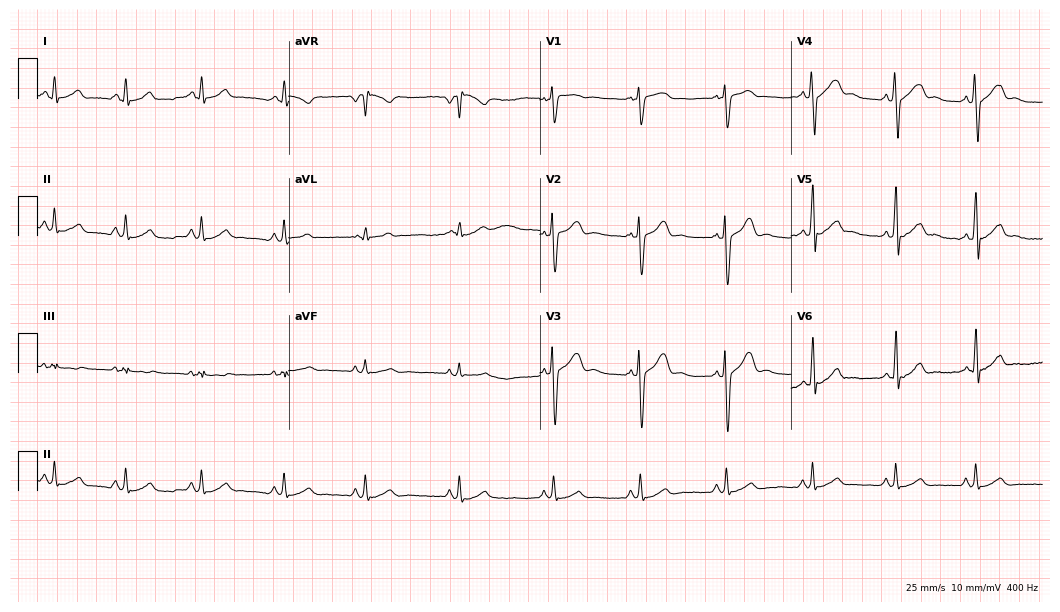
Standard 12-lead ECG recorded from a male, 18 years old (10.2-second recording at 400 Hz). Read as a normal ECG.